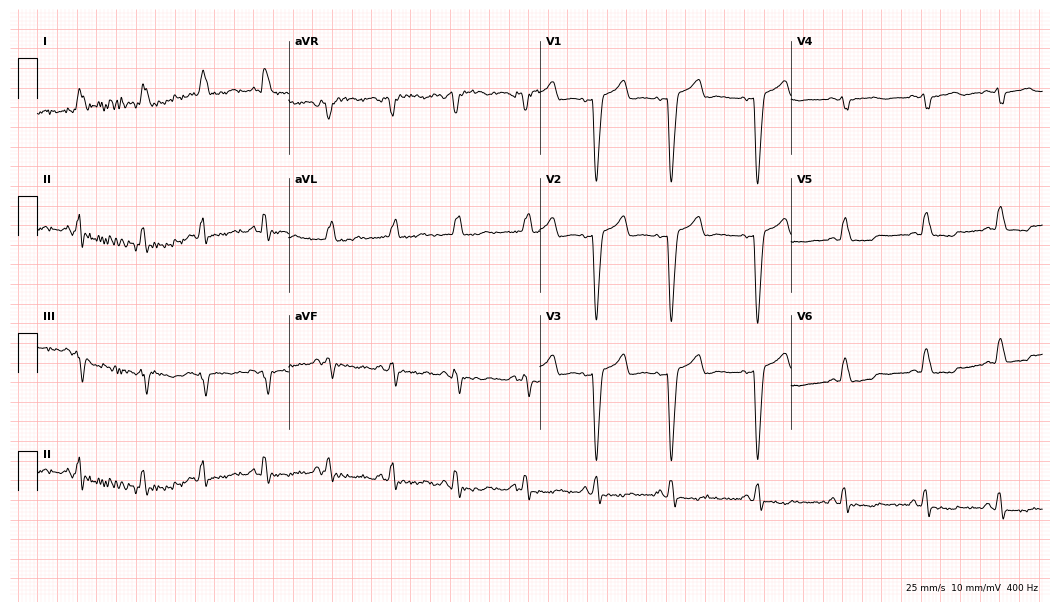
Standard 12-lead ECG recorded from a 43-year-old female. The tracing shows left bundle branch block.